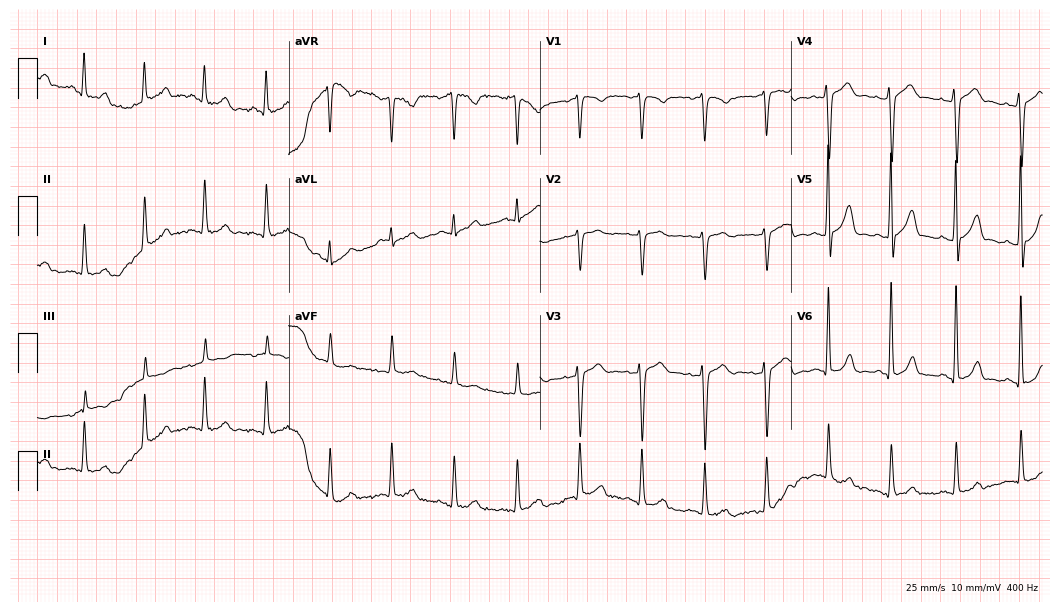
Standard 12-lead ECG recorded from a male patient, 18 years old. Read as a normal ECG.